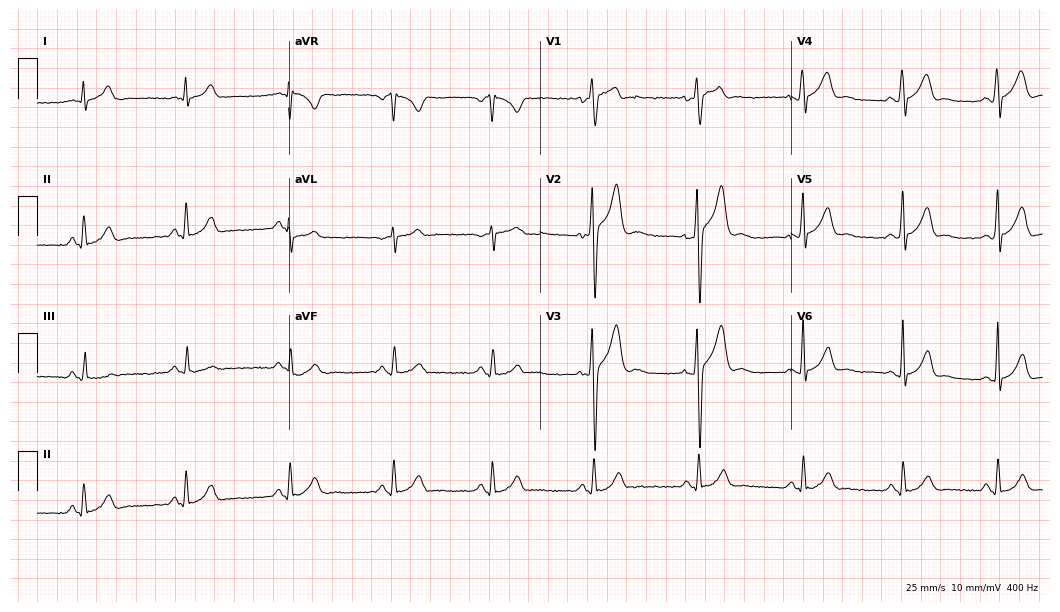
ECG (10.2-second recording at 400 Hz) — a 29-year-old male patient. Labelled as a normal ECG.